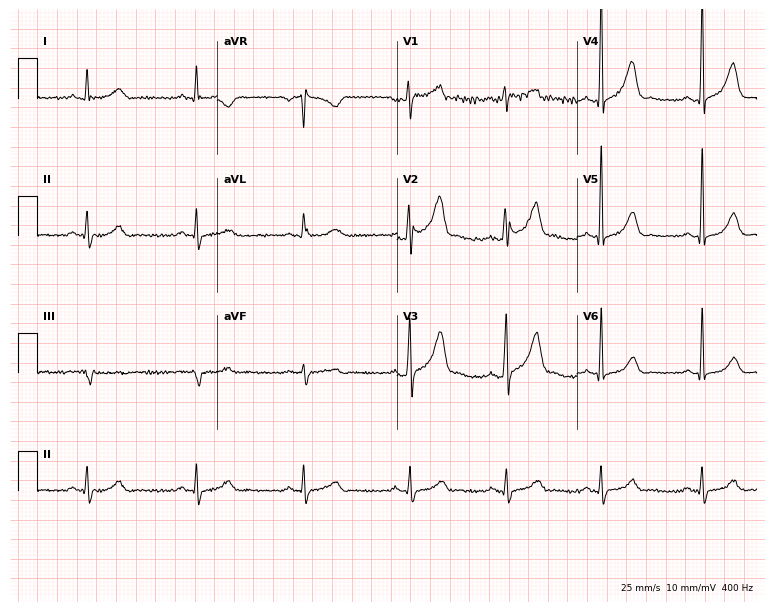
12-lead ECG from a male patient, 78 years old. Recorded interpretation: within normal limits.